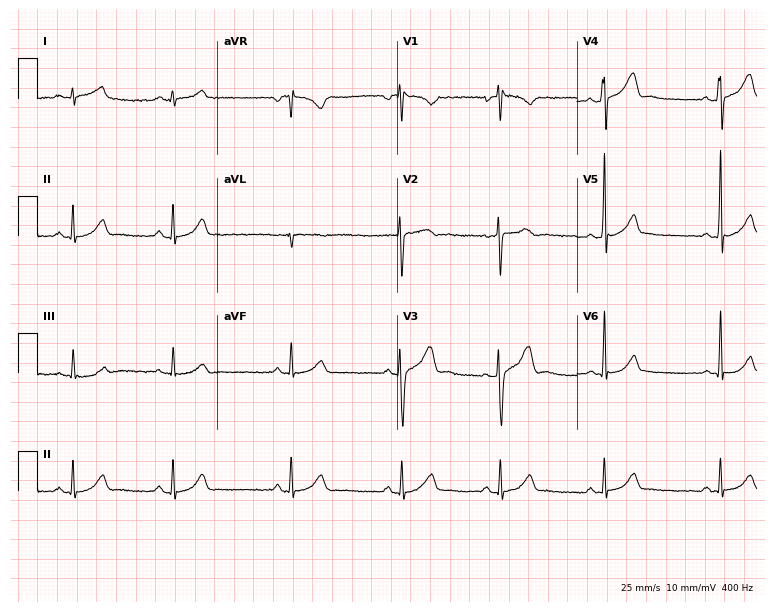
12-lead ECG from a 20-year-old male. Labelled as a normal ECG.